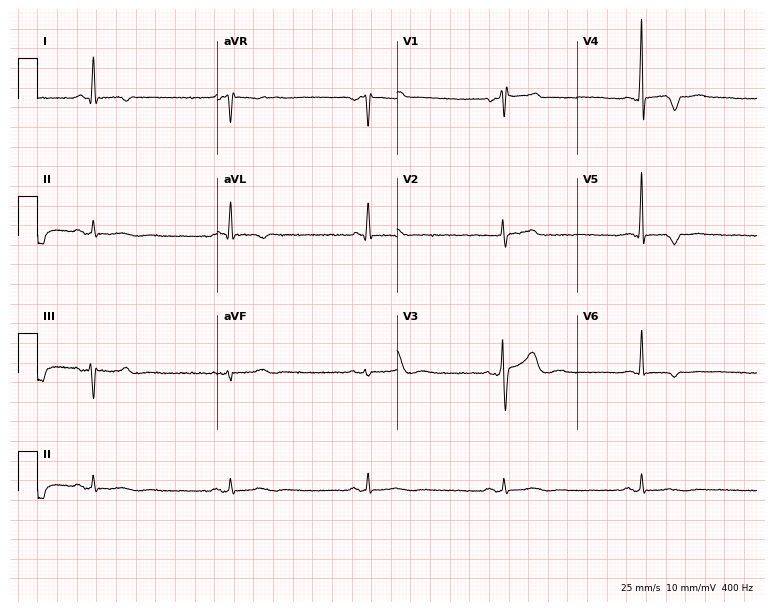
Resting 12-lead electrocardiogram (7.3-second recording at 400 Hz). Patient: a man, 64 years old. The tracing shows sinus bradycardia (a sinus rate of 50 beats per minute or less).